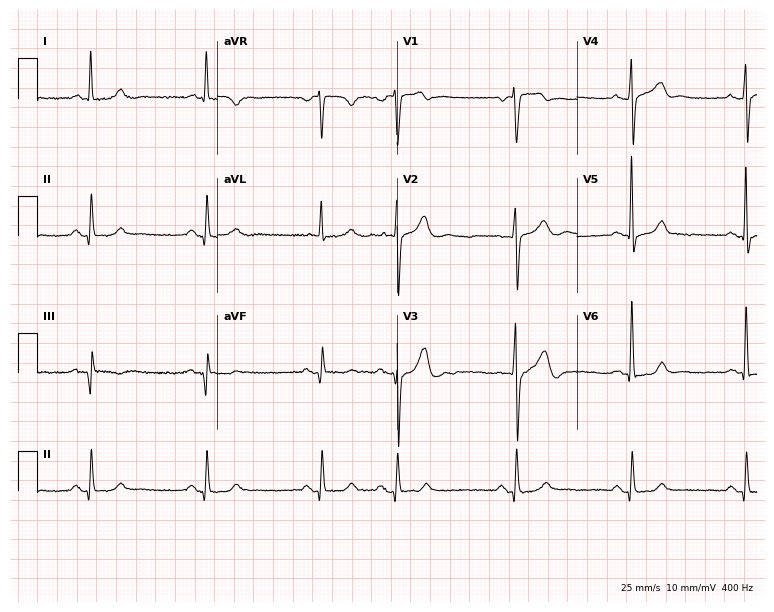
ECG (7.3-second recording at 400 Hz) — a man, 77 years old. Screened for six findings — first-degree AV block, right bundle branch block, left bundle branch block, sinus bradycardia, atrial fibrillation, sinus tachycardia — none is recorded. Other findings, if any, are not listed.